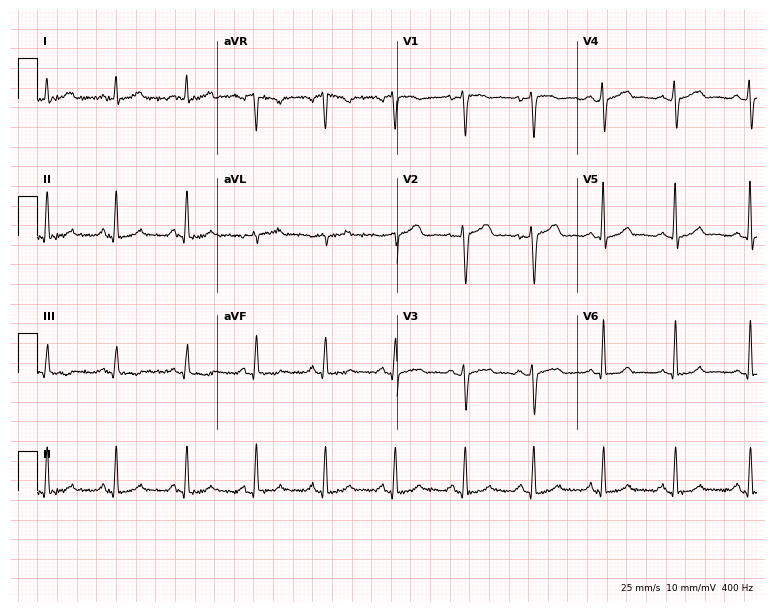
ECG — a 41-year-old female. Screened for six findings — first-degree AV block, right bundle branch block, left bundle branch block, sinus bradycardia, atrial fibrillation, sinus tachycardia — none is recorded.